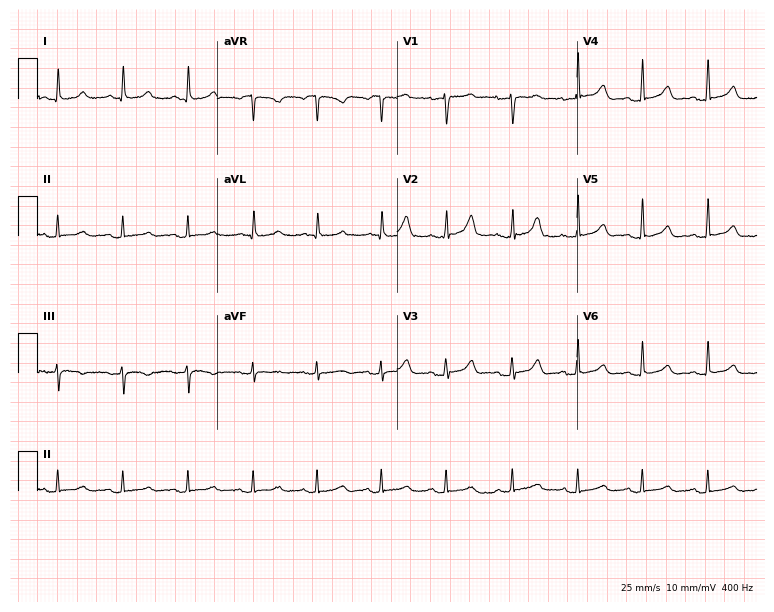
Standard 12-lead ECG recorded from a woman, 80 years old. Read as a normal ECG.